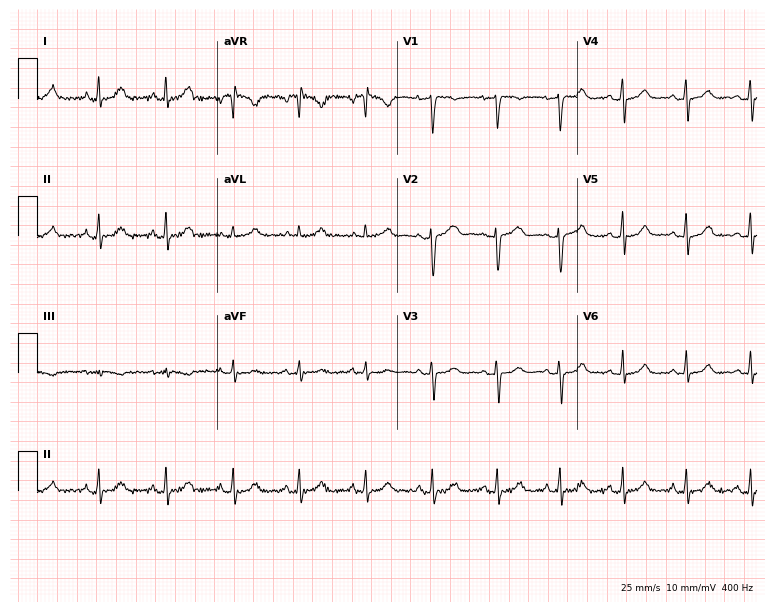
12-lead ECG from a woman, 48 years old (7.3-second recording at 400 Hz). No first-degree AV block, right bundle branch block, left bundle branch block, sinus bradycardia, atrial fibrillation or sinus tachycardia recorded for this tracing. Only these six findings were labelled.